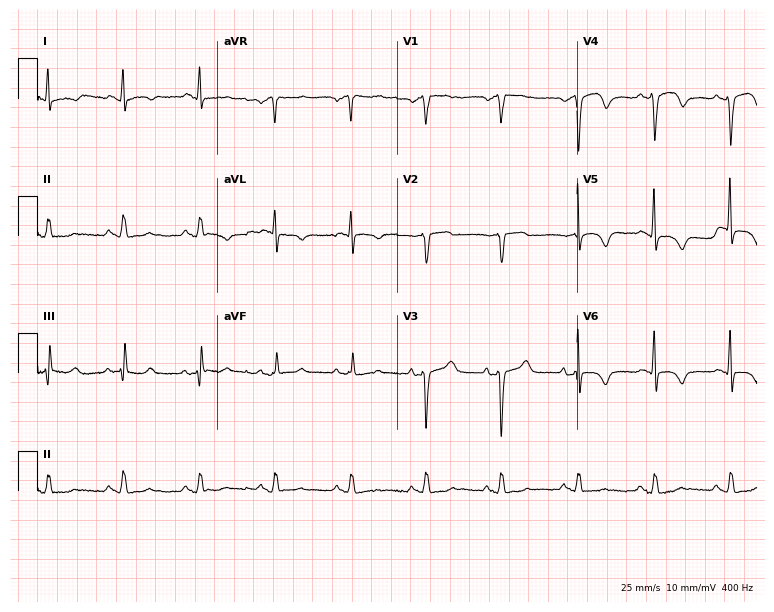
Resting 12-lead electrocardiogram. Patient: a female, 79 years old. None of these six findings is recorded: first-degree AV block, right bundle branch block (RBBB), left bundle branch block (LBBB), sinus bradycardia, atrial fibrillation (AF), sinus tachycardia. Only these six findings were labelled.